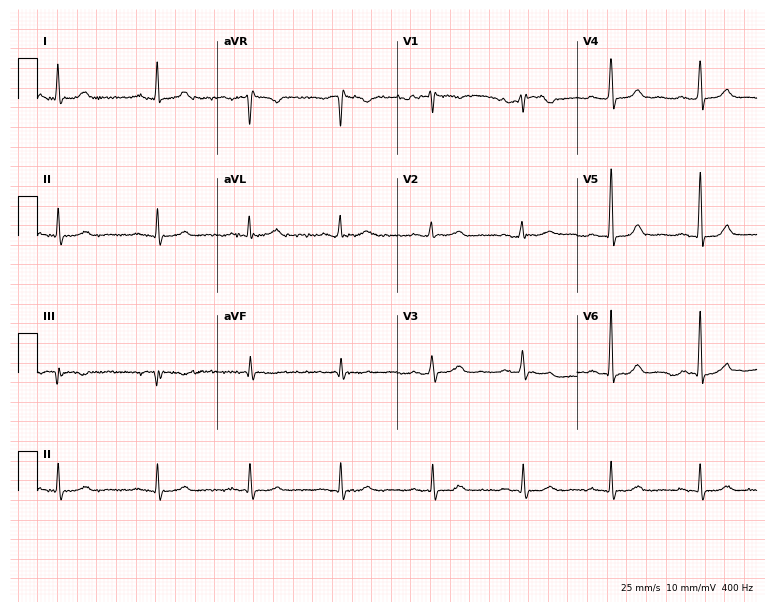
Standard 12-lead ECG recorded from a female patient, 49 years old (7.3-second recording at 400 Hz). None of these six findings is recorded: first-degree AV block, right bundle branch block, left bundle branch block, sinus bradycardia, atrial fibrillation, sinus tachycardia.